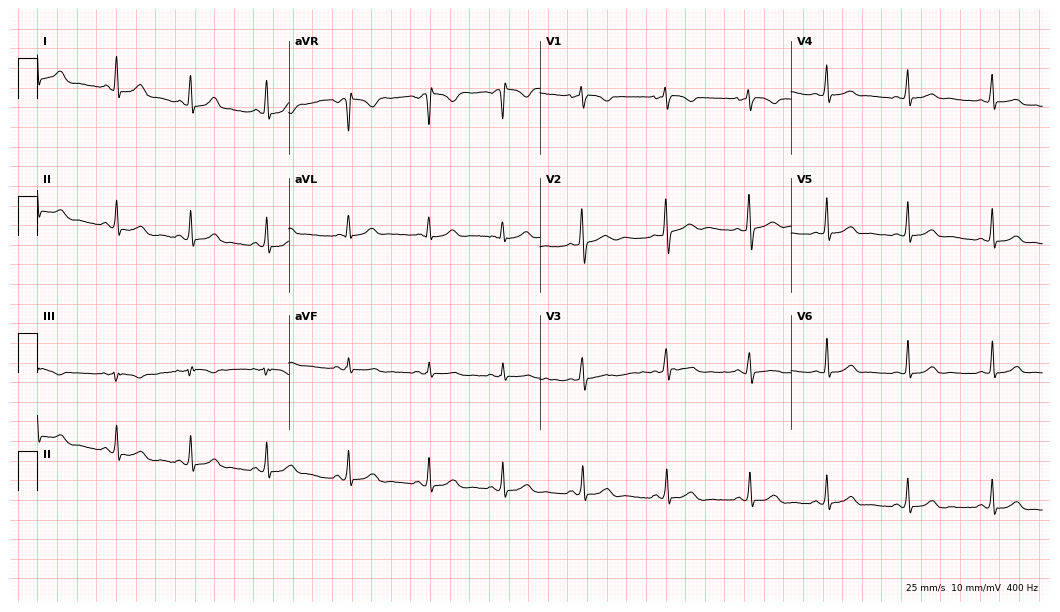
Resting 12-lead electrocardiogram (10.2-second recording at 400 Hz). Patient: a 21-year-old female. Read as a normal ECG.